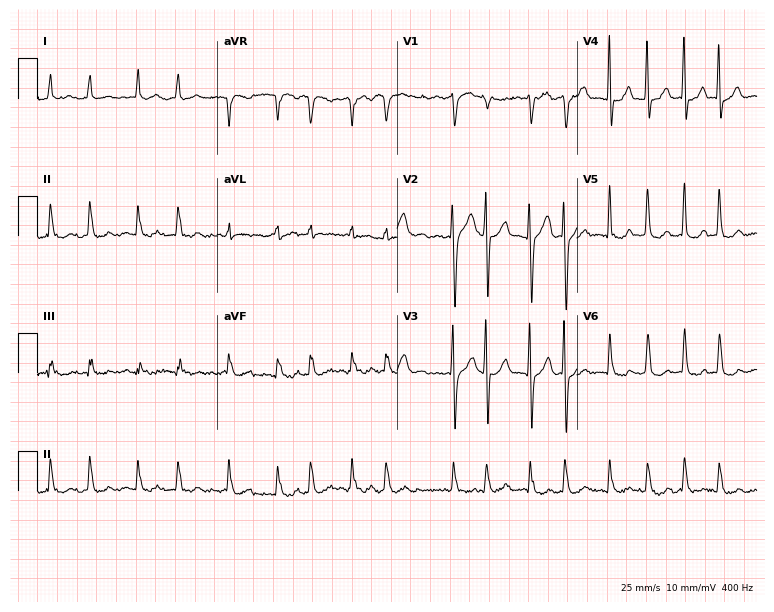
12-lead ECG from a 78-year-old man. Shows atrial fibrillation.